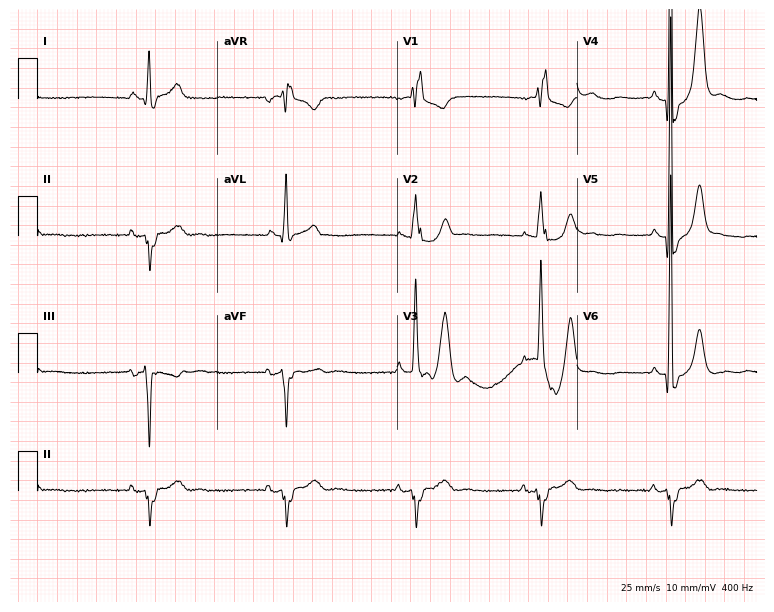
Resting 12-lead electrocardiogram. Patient: a male, 48 years old. The tracing shows right bundle branch block (RBBB), sinus bradycardia (a sinus rate of 50 beats per minute or less).